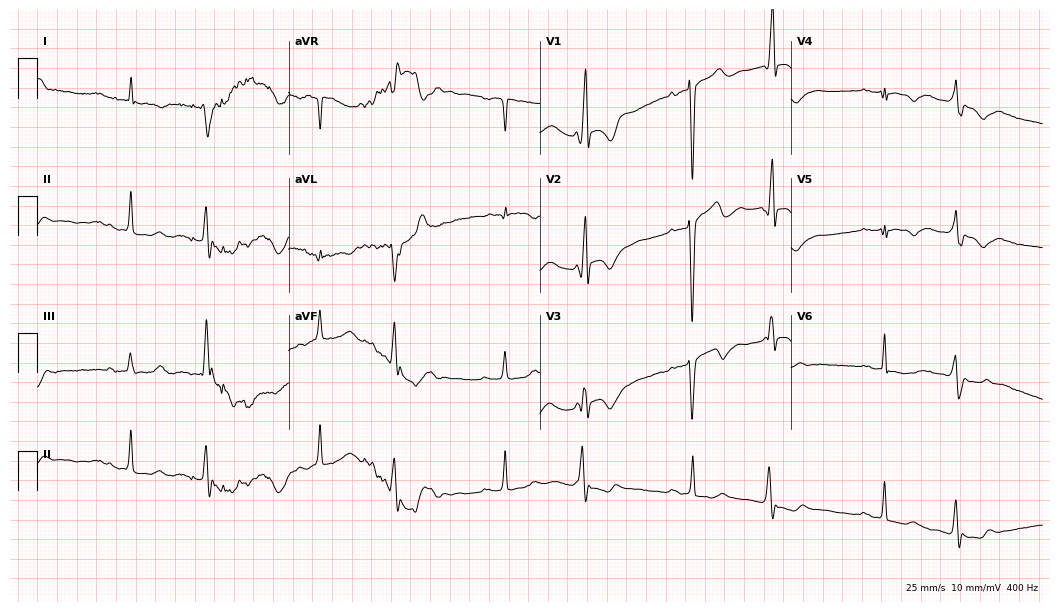
Electrocardiogram (10.2-second recording at 400 Hz), a 70-year-old man. Of the six screened findings (first-degree AV block, right bundle branch block (RBBB), left bundle branch block (LBBB), sinus bradycardia, atrial fibrillation (AF), sinus tachycardia), none is recorded. Findings outside these six are not listed.